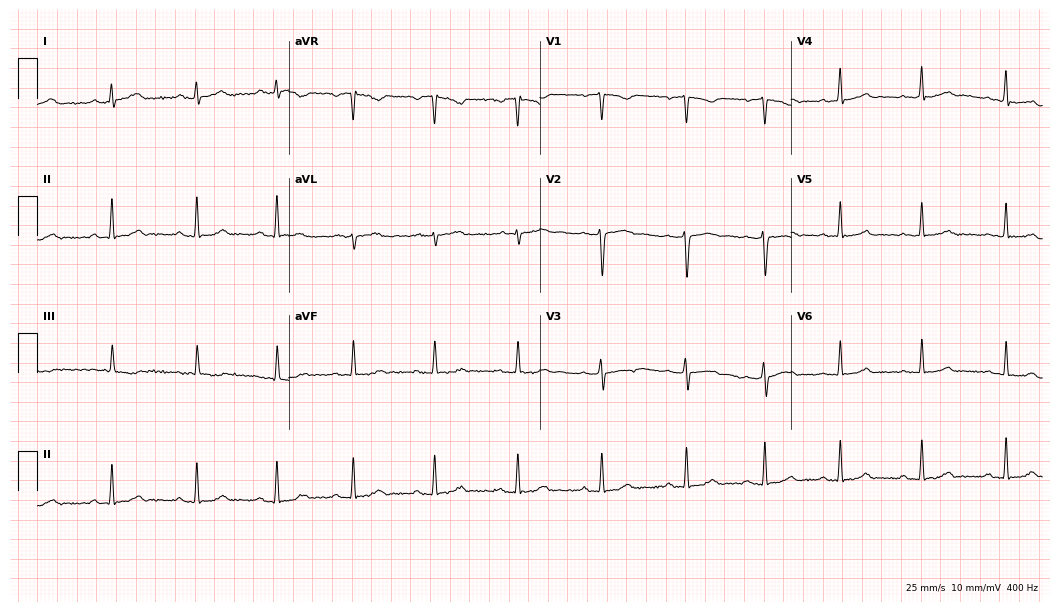
Resting 12-lead electrocardiogram. Patient: a female, 17 years old. None of these six findings is recorded: first-degree AV block, right bundle branch block, left bundle branch block, sinus bradycardia, atrial fibrillation, sinus tachycardia.